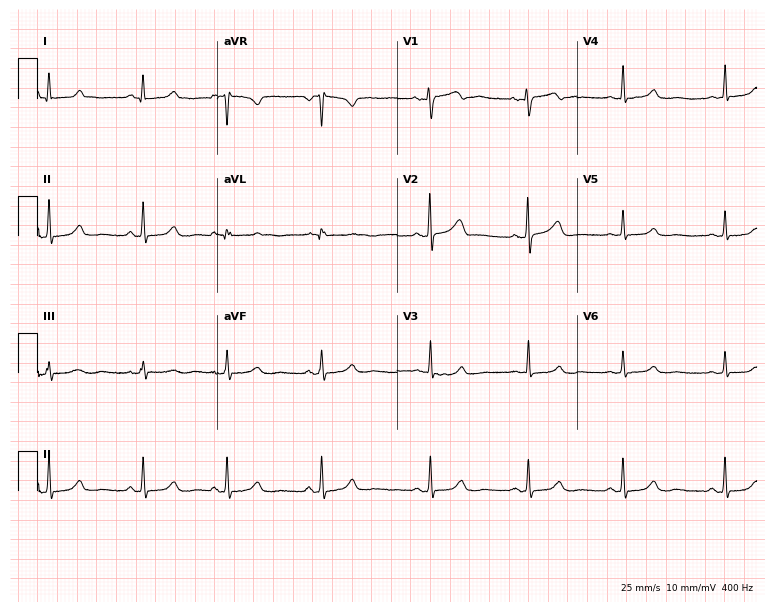
Electrocardiogram (7.3-second recording at 400 Hz), a 24-year-old female patient. Overall reading on record: normal ECG.